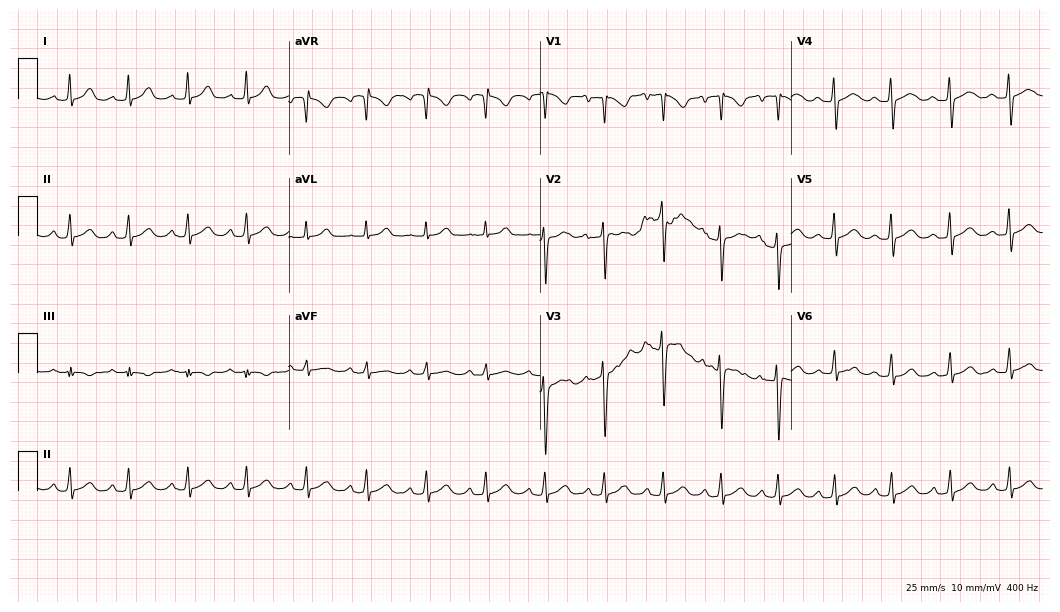
Electrocardiogram (10.2-second recording at 400 Hz), a 30-year-old woman. Of the six screened findings (first-degree AV block, right bundle branch block (RBBB), left bundle branch block (LBBB), sinus bradycardia, atrial fibrillation (AF), sinus tachycardia), none is recorded.